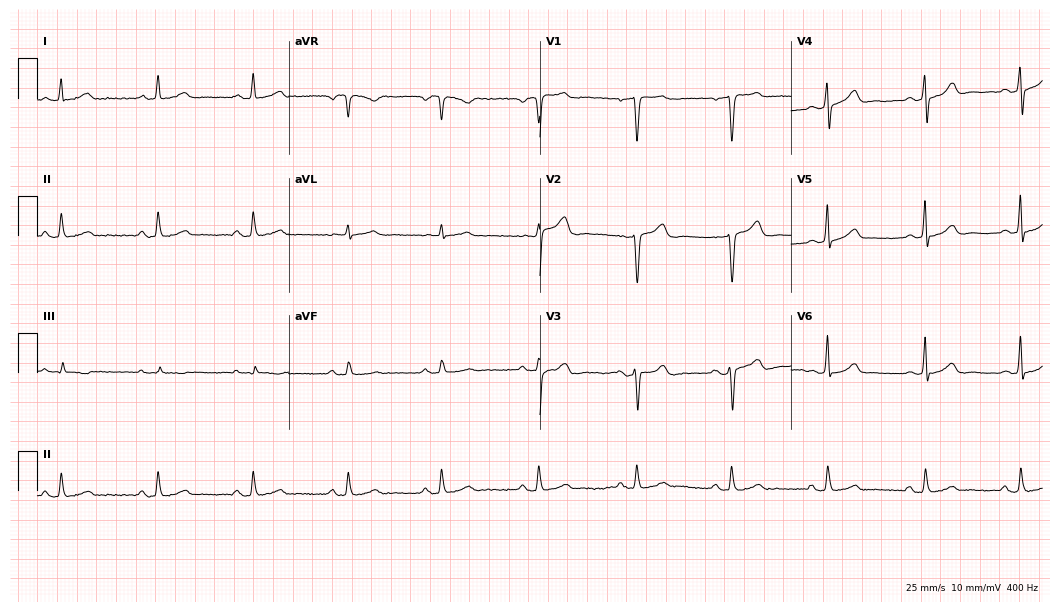
Resting 12-lead electrocardiogram (10.2-second recording at 400 Hz). Patient: a 51-year-old male. Read as a normal ECG.